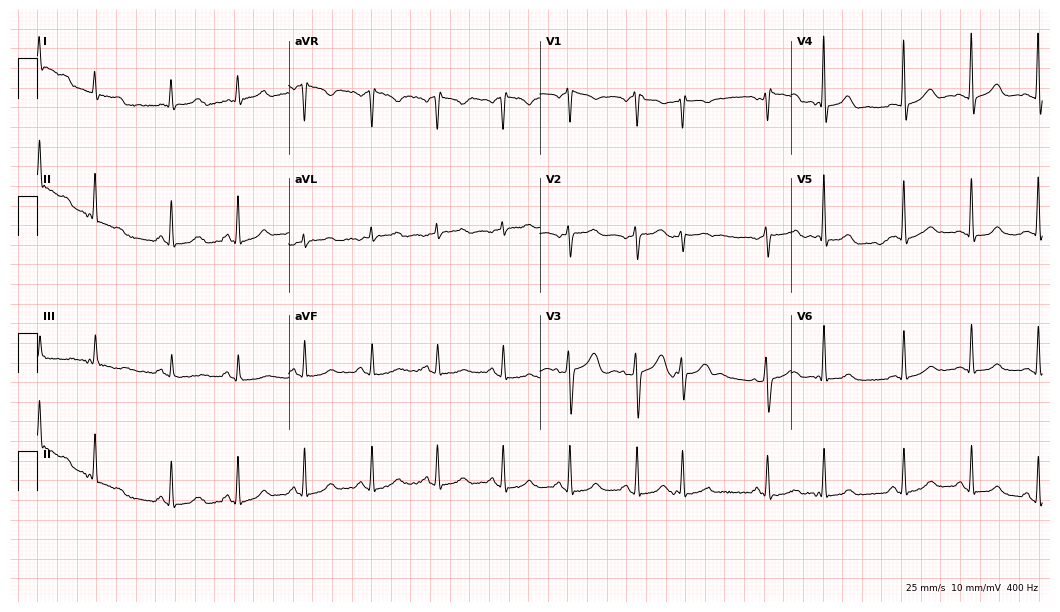
12-lead ECG (10.2-second recording at 400 Hz) from a female patient, 69 years old. Screened for six findings — first-degree AV block, right bundle branch block, left bundle branch block, sinus bradycardia, atrial fibrillation, sinus tachycardia — none is recorded.